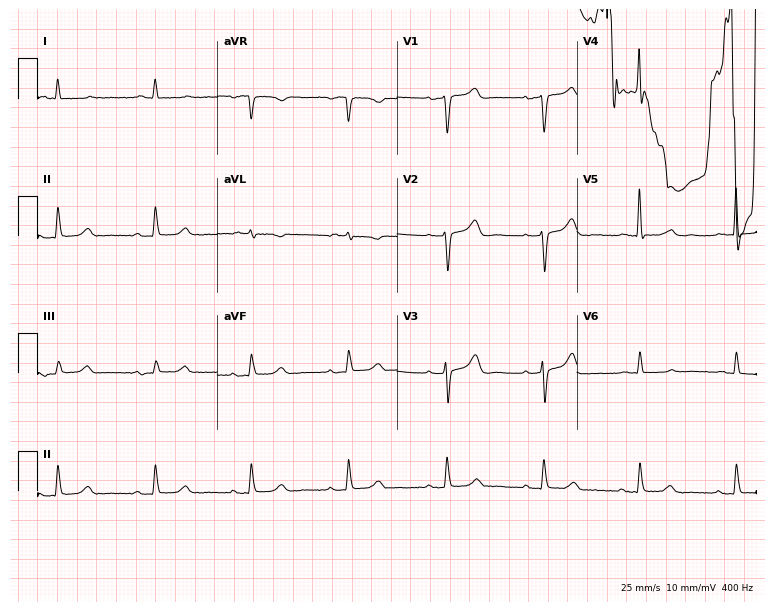
Standard 12-lead ECG recorded from an 81-year-old male. None of these six findings is recorded: first-degree AV block, right bundle branch block (RBBB), left bundle branch block (LBBB), sinus bradycardia, atrial fibrillation (AF), sinus tachycardia. Findings outside these six are not listed.